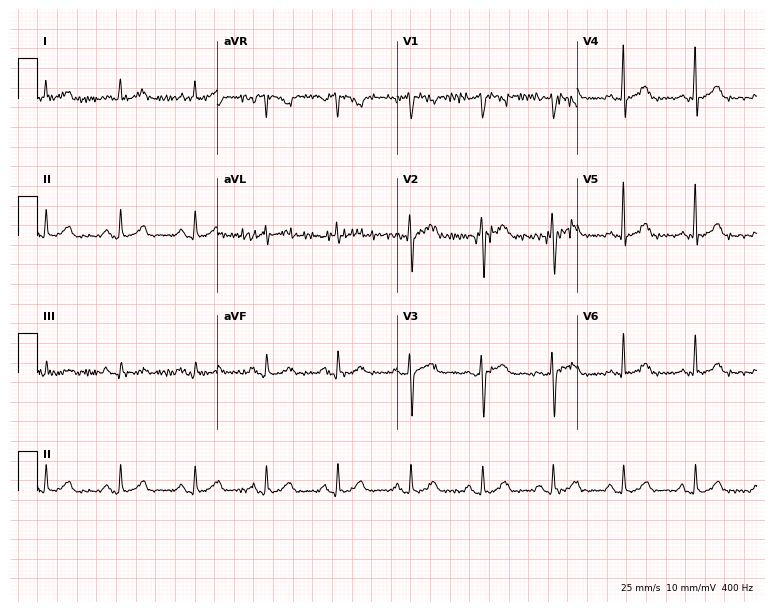
12-lead ECG from a woman, 66 years old. No first-degree AV block, right bundle branch block, left bundle branch block, sinus bradycardia, atrial fibrillation or sinus tachycardia recorded for this tracing.